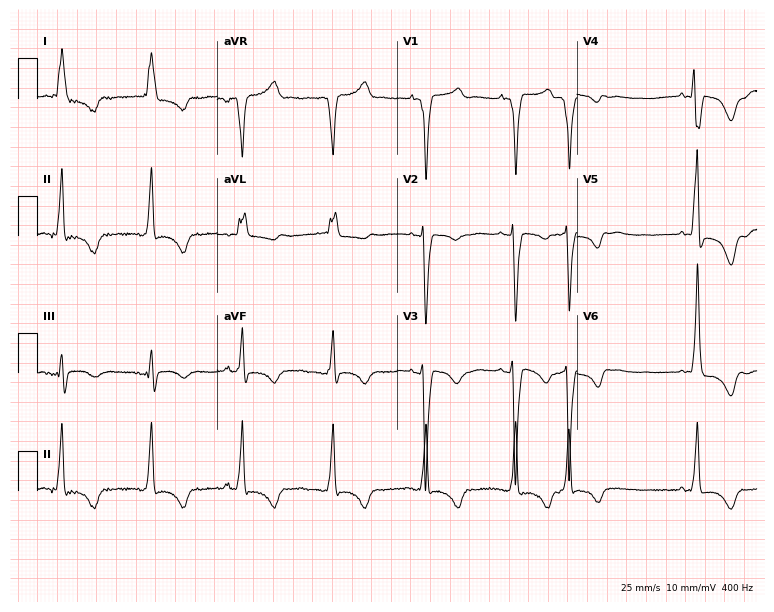
12-lead ECG from a female patient, 81 years old. Findings include left bundle branch block.